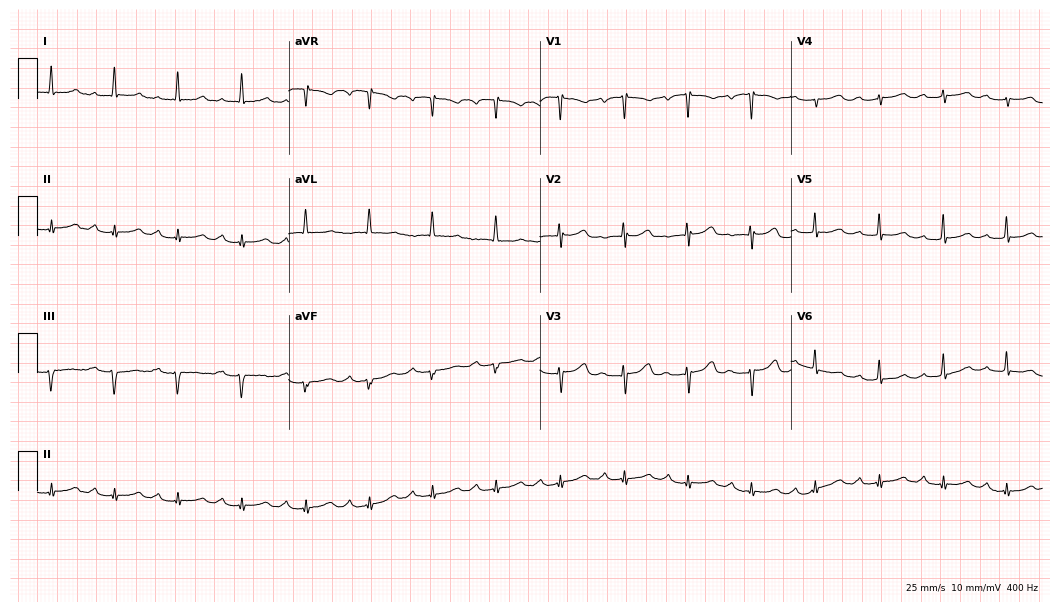
Standard 12-lead ECG recorded from a female patient, 63 years old. The tracing shows first-degree AV block.